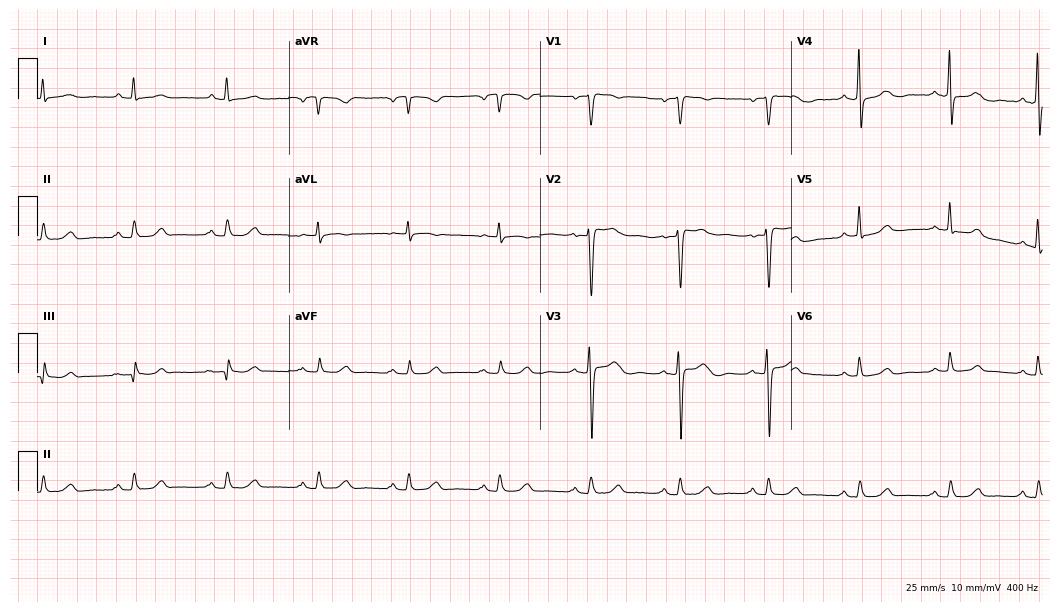
ECG (10.2-second recording at 400 Hz) — a 71-year-old female. Labelled as a normal ECG.